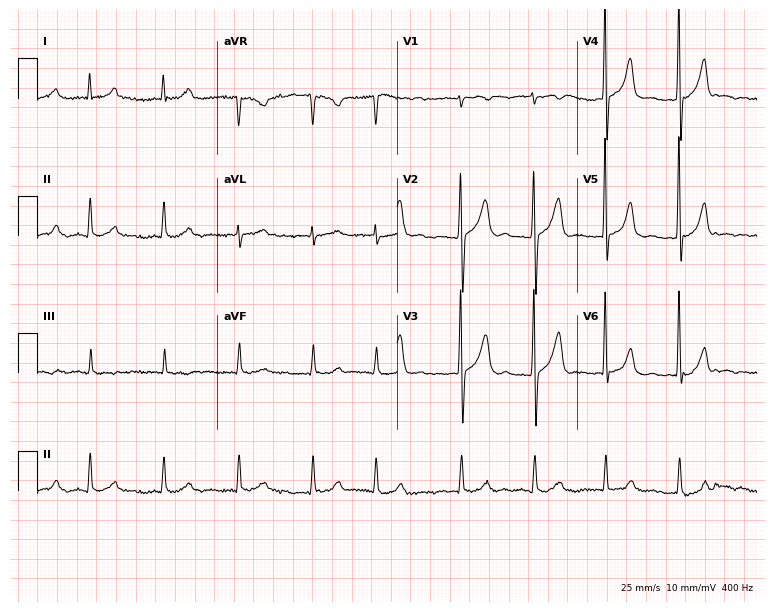
Resting 12-lead electrocardiogram (7.3-second recording at 400 Hz). Patient: a 77-year-old man. None of these six findings is recorded: first-degree AV block, right bundle branch block, left bundle branch block, sinus bradycardia, atrial fibrillation, sinus tachycardia. Only these six findings were labelled.